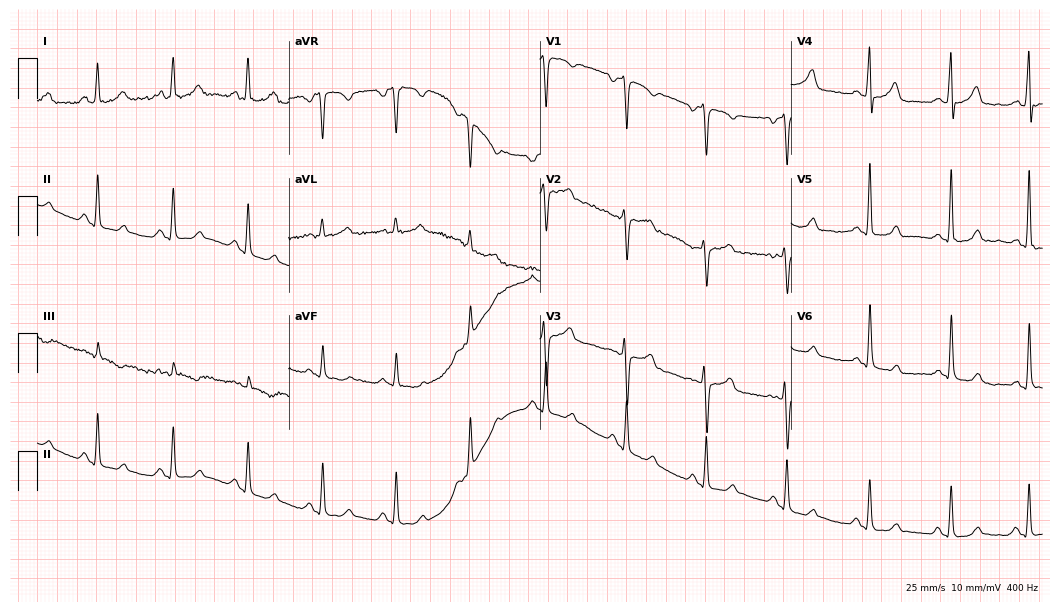
Electrocardiogram, a woman, 31 years old. Overall reading on record: normal ECG.